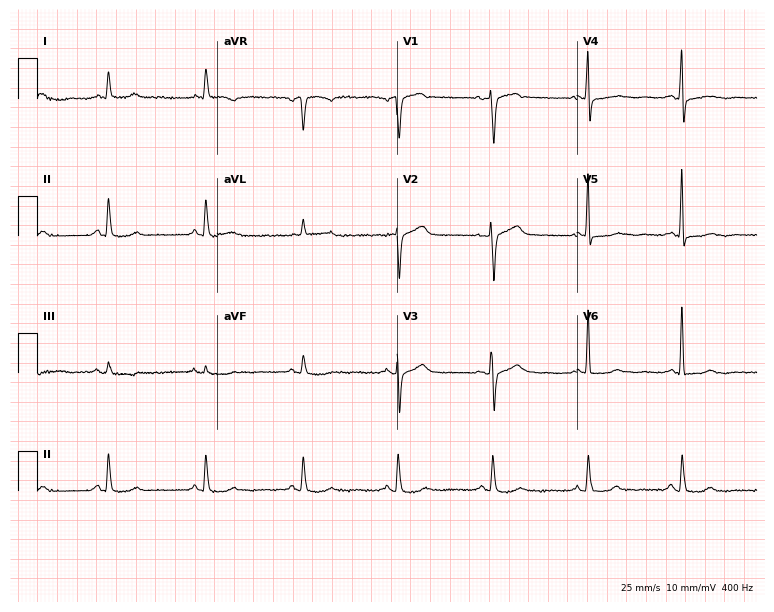
ECG — a female patient, 68 years old. Screened for six findings — first-degree AV block, right bundle branch block (RBBB), left bundle branch block (LBBB), sinus bradycardia, atrial fibrillation (AF), sinus tachycardia — none is recorded. Only these six findings were labelled.